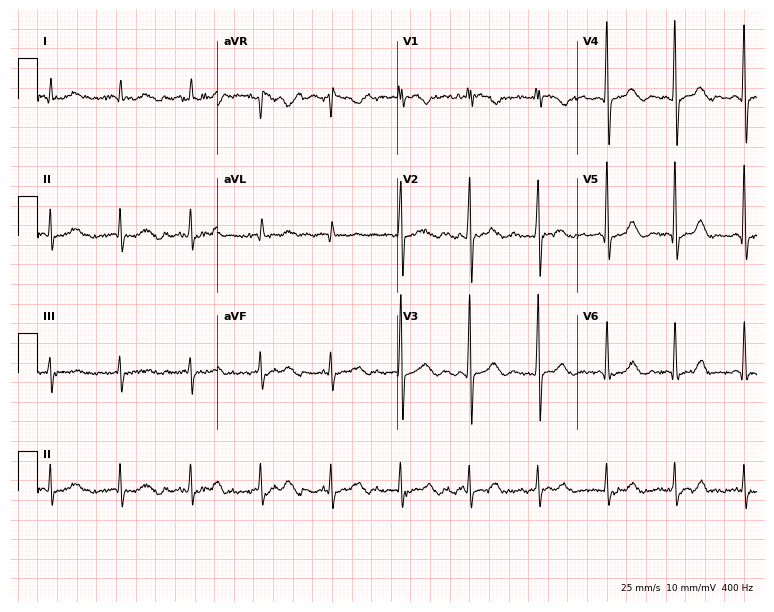
Standard 12-lead ECG recorded from a female patient, 76 years old (7.3-second recording at 400 Hz). None of these six findings is recorded: first-degree AV block, right bundle branch block, left bundle branch block, sinus bradycardia, atrial fibrillation, sinus tachycardia. Other findings, if any, are not listed.